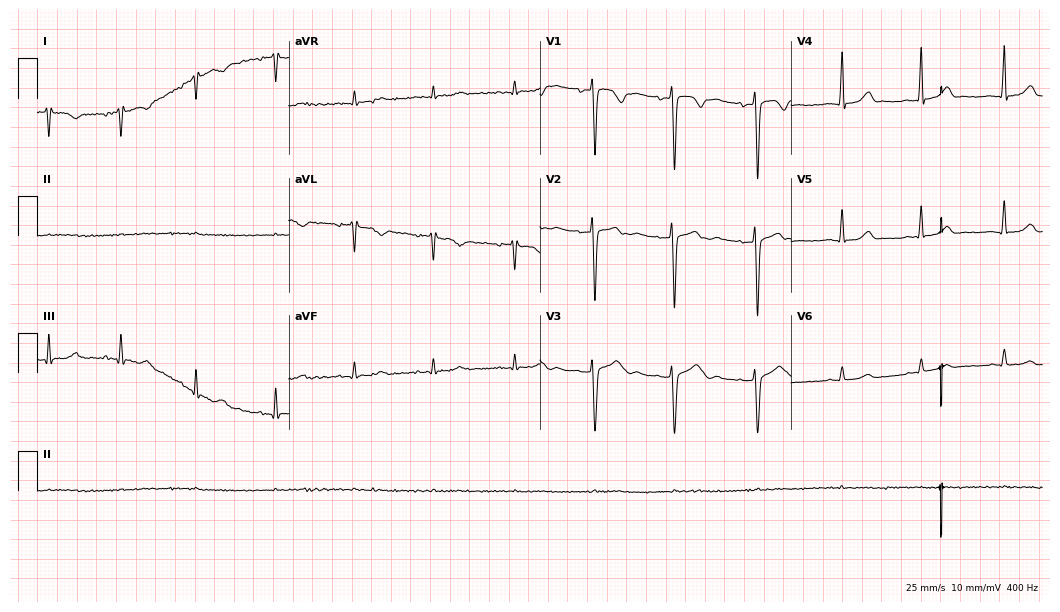
12-lead ECG from a 32-year-old female patient (10.2-second recording at 400 Hz). Recorded interpretation: within normal limits.